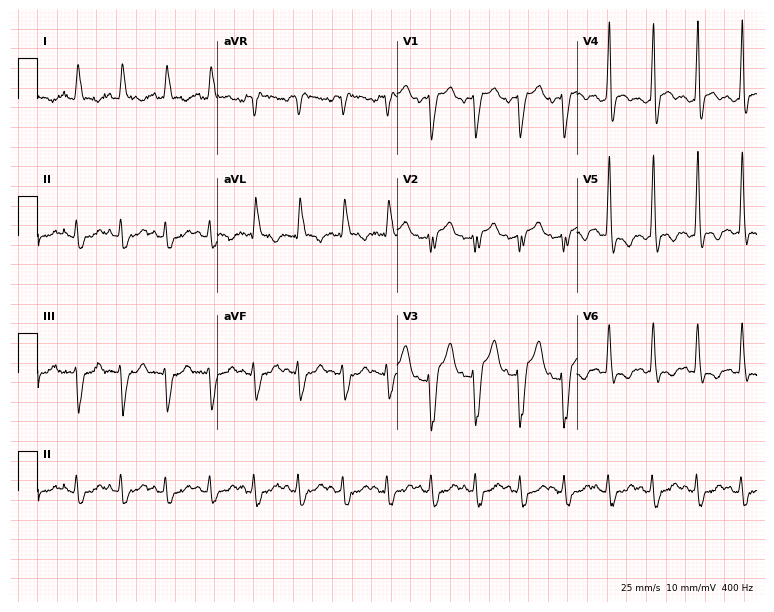
ECG (7.3-second recording at 400 Hz) — a woman, 84 years old. Findings include sinus tachycardia (a sinus rate of 100 beats per minute or more).